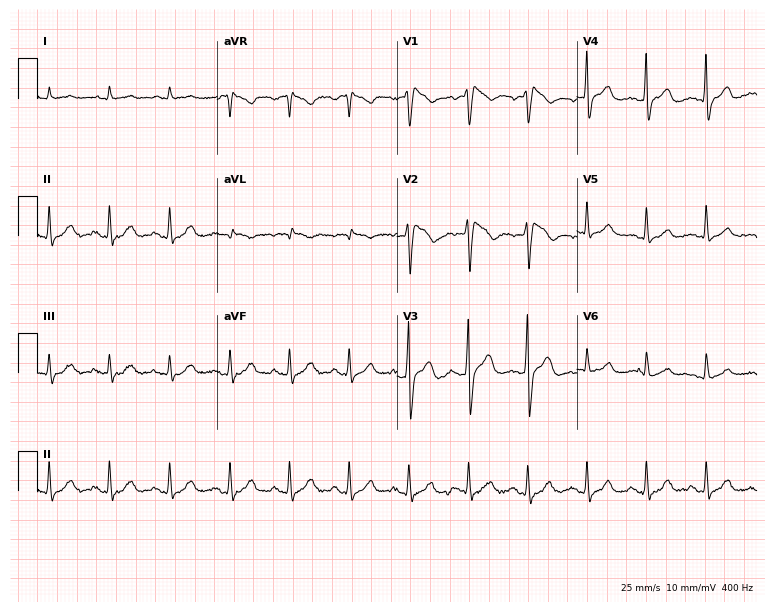
Resting 12-lead electrocardiogram. Patient: a male, 56 years old. None of these six findings is recorded: first-degree AV block, right bundle branch block, left bundle branch block, sinus bradycardia, atrial fibrillation, sinus tachycardia.